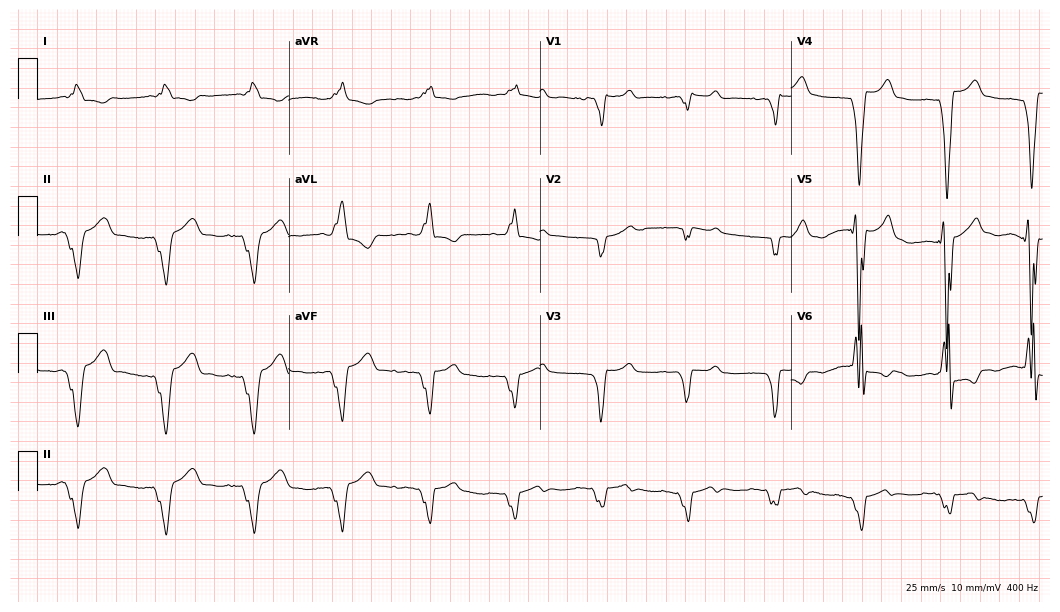
Electrocardiogram (10.2-second recording at 400 Hz), a man, 76 years old. Of the six screened findings (first-degree AV block, right bundle branch block, left bundle branch block, sinus bradycardia, atrial fibrillation, sinus tachycardia), none is recorded.